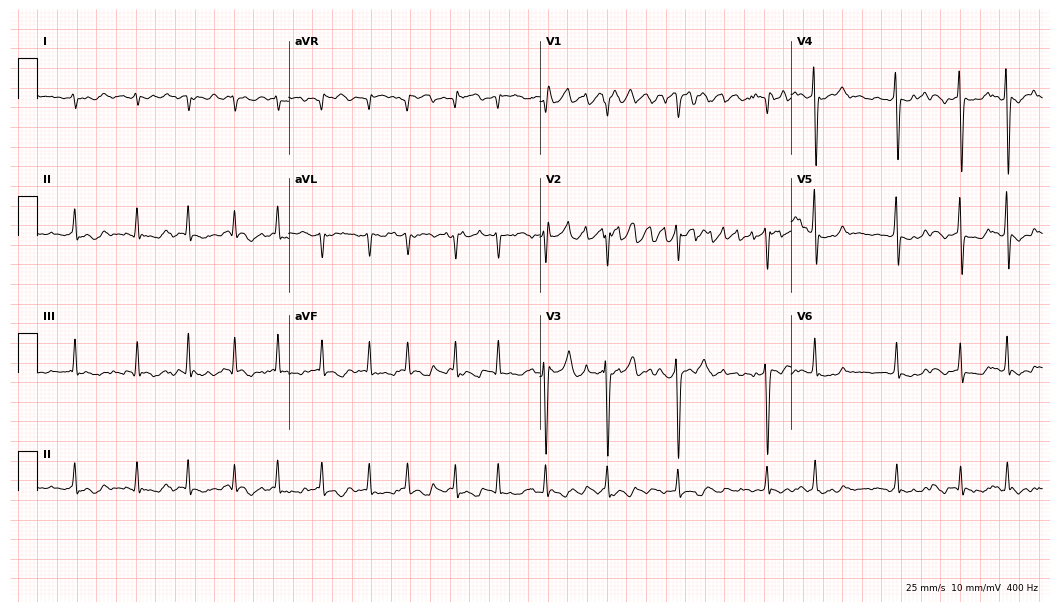
Electrocardiogram (10.2-second recording at 400 Hz), a 37-year-old female patient. Interpretation includes atrial fibrillation (AF).